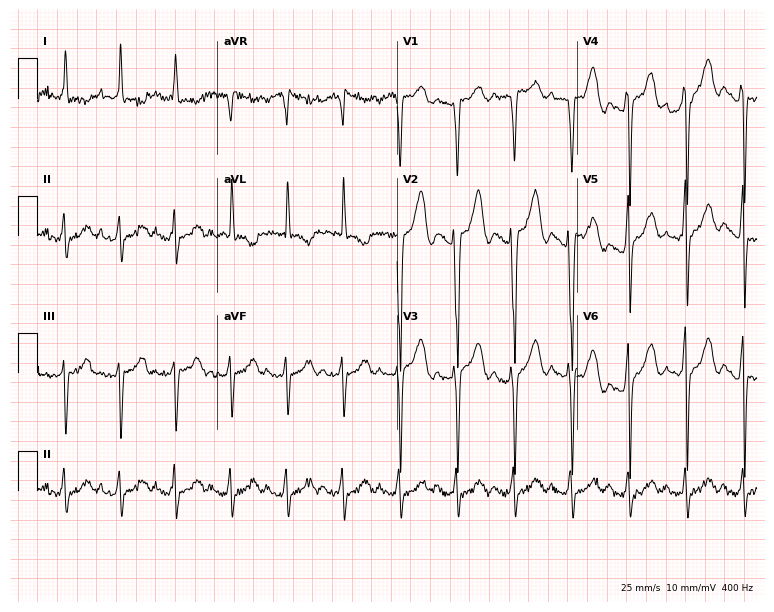
ECG — a 35-year-old male patient. Screened for six findings — first-degree AV block, right bundle branch block, left bundle branch block, sinus bradycardia, atrial fibrillation, sinus tachycardia — none is recorded. Other findings, if any, are not listed.